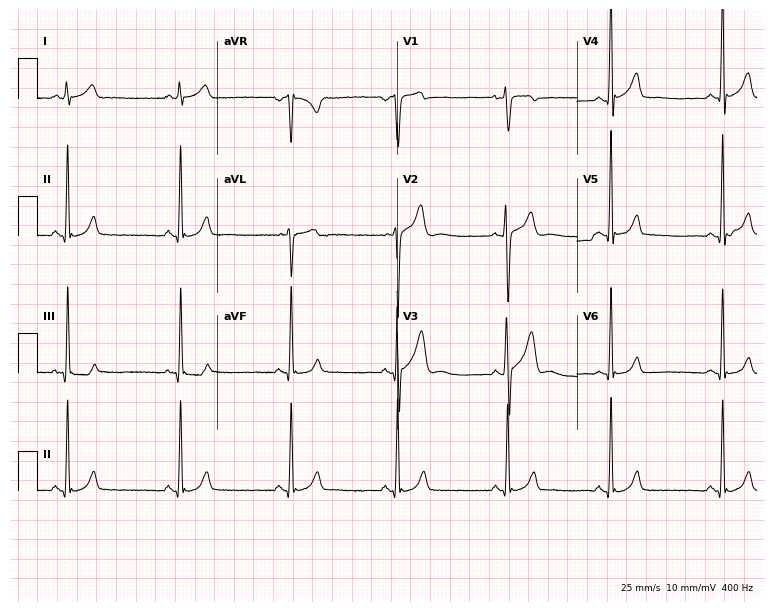
ECG (7.3-second recording at 400 Hz) — a man, 21 years old. Screened for six findings — first-degree AV block, right bundle branch block (RBBB), left bundle branch block (LBBB), sinus bradycardia, atrial fibrillation (AF), sinus tachycardia — none is recorded.